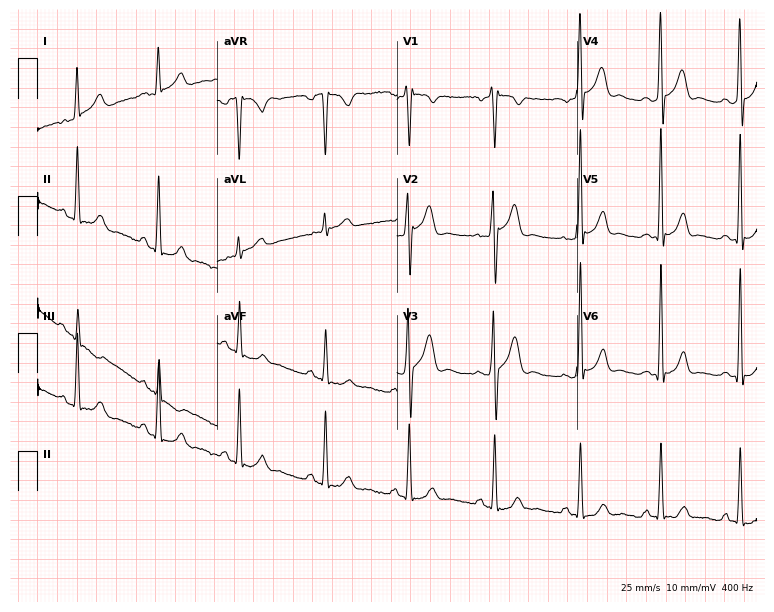
Standard 12-lead ECG recorded from an 18-year-old man. None of these six findings is recorded: first-degree AV block, right bundle branch block, left bundle branch block, sinus bradycardia, atrial fibrillation, sinus tachycardia.